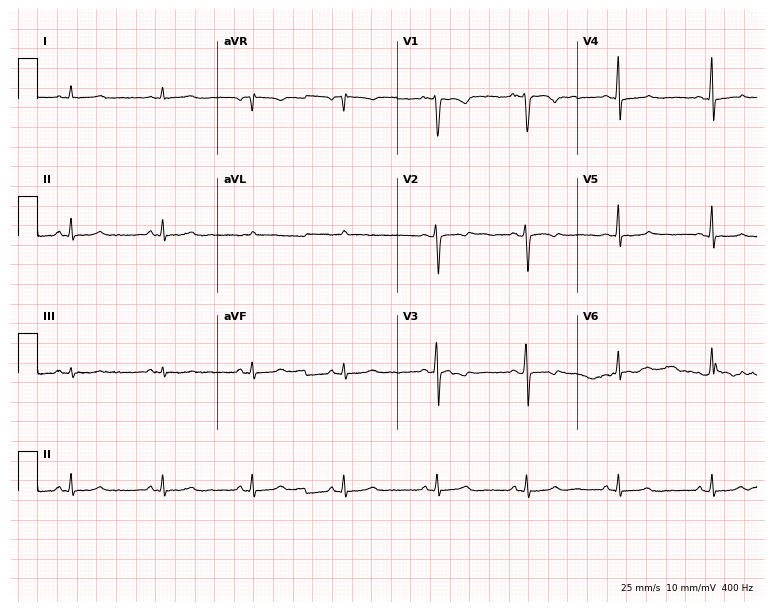
12-lead ECG from a 45-year-old female. No first-degree AV block, right bundle branch block, left bundle branch block, sinus bradycardia, atrial fibrillation or sinus tachycardia recorded for this tracing.